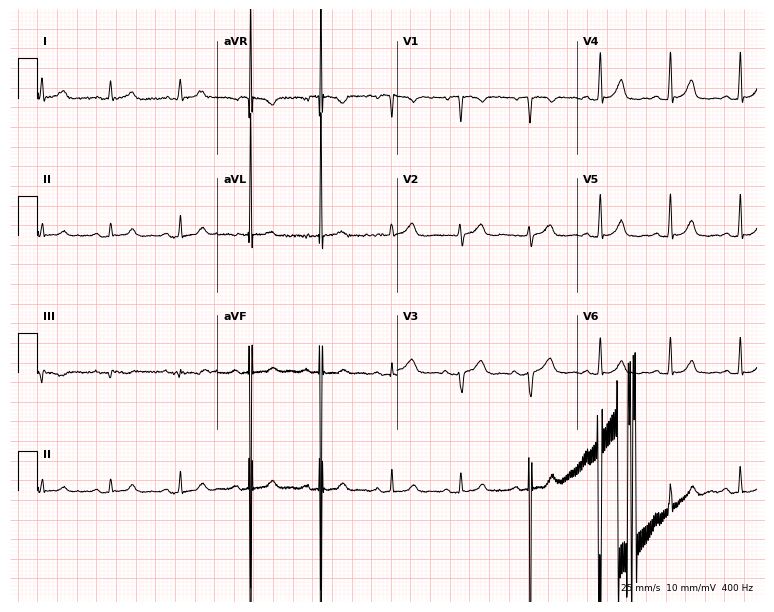
12-lead ECG (7.3-second recording at 400 Hz) from a 62-year-old female. Labelled as a normal ECG.